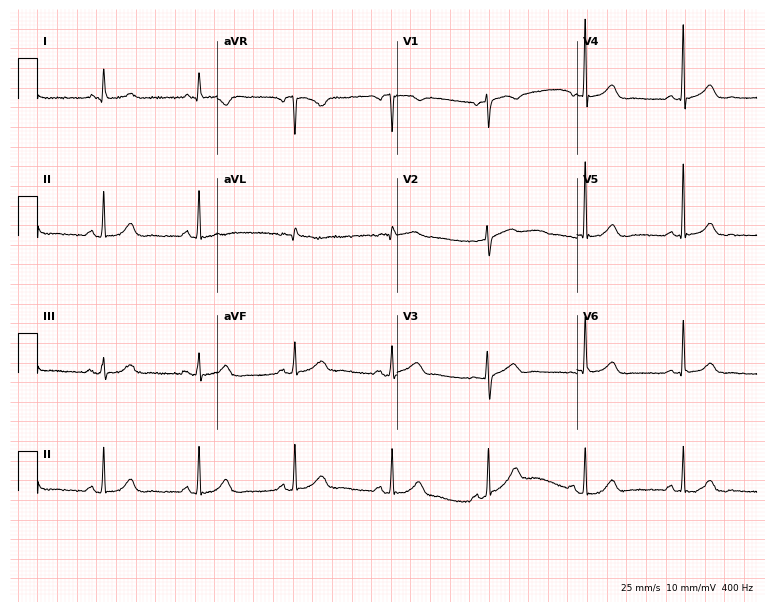
Standard 12-lead ECG recorded from a 64-year-old female. Read as a normal ECG.